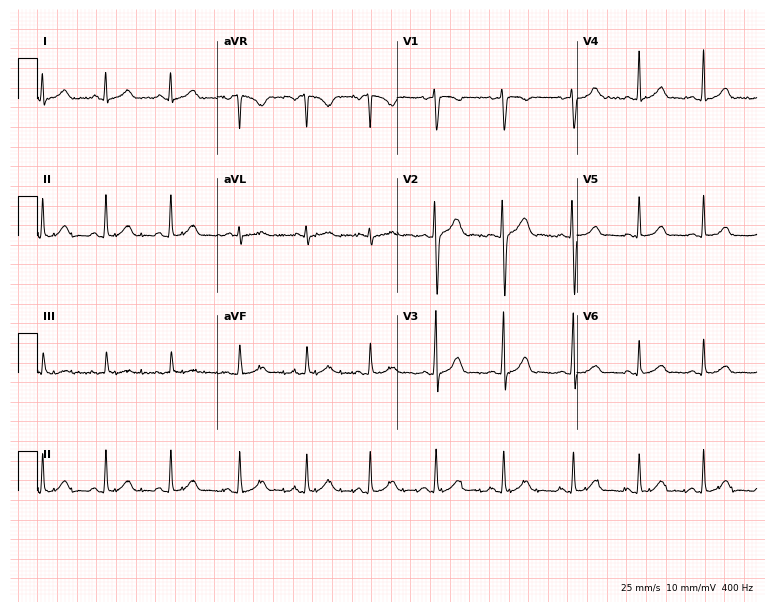
Standard 12-lead ECG recorded from a man, 19 years old (7.3-second recording at 400 Hz). Read as a normal ECG.